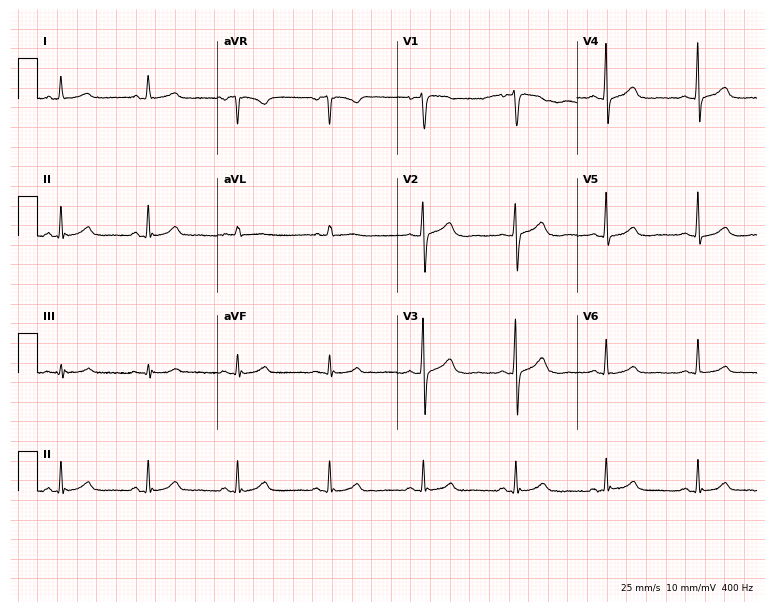
Standard 12-lead ECG recorded from a 60-year-old female patient. None of these six findings is recorded: first-degree AV block, right bundle branch block, left bundle branch block, sinus bradycardia, atrial fibrillation, sinus tachycardia.